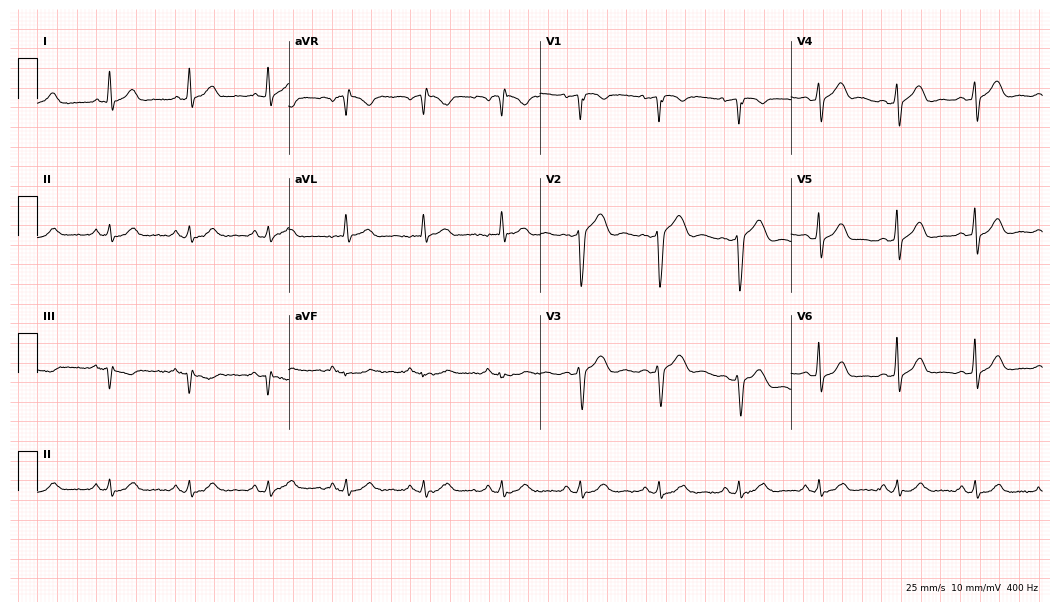
ECG — a 52-year-old male patient. Labelled as a normal ECG.